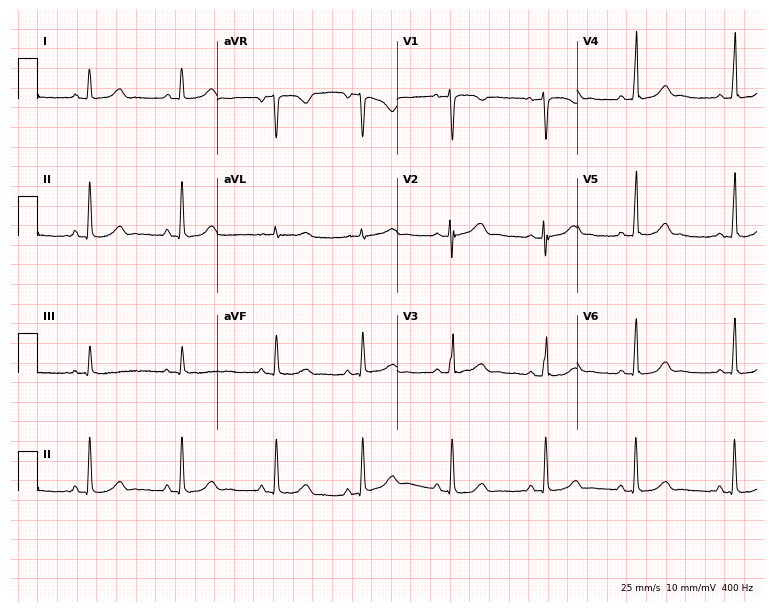
Standard 12-lead ECG recorded from a female patient, 30 years old (7.3-second recording at 400 Hz). Read as a normal ECG.